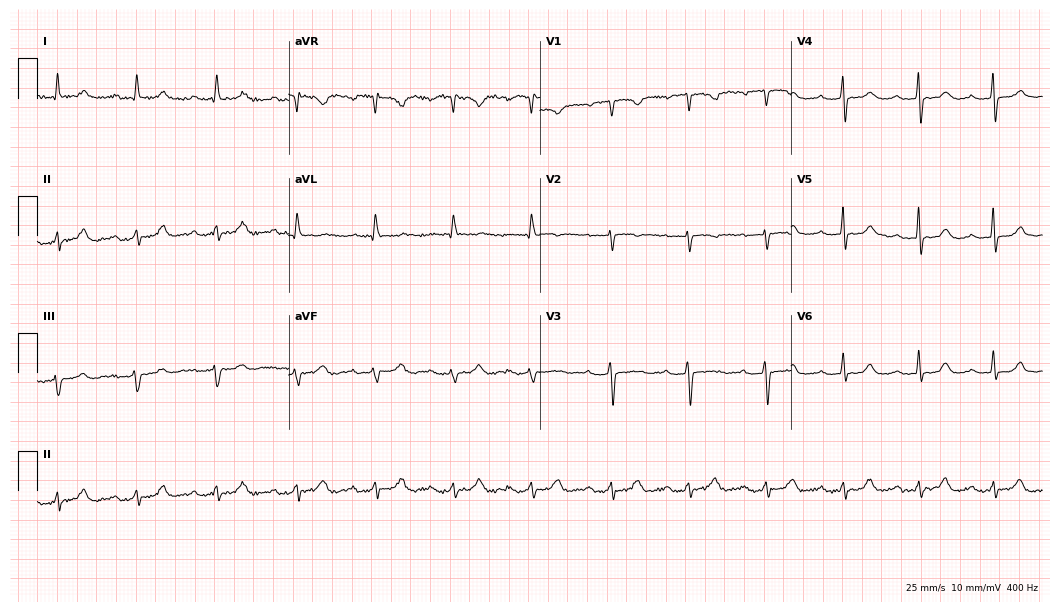
Standard 12-lead ECG recorded from a female patient, 46 years old. The tracing shows first-degree AV block.